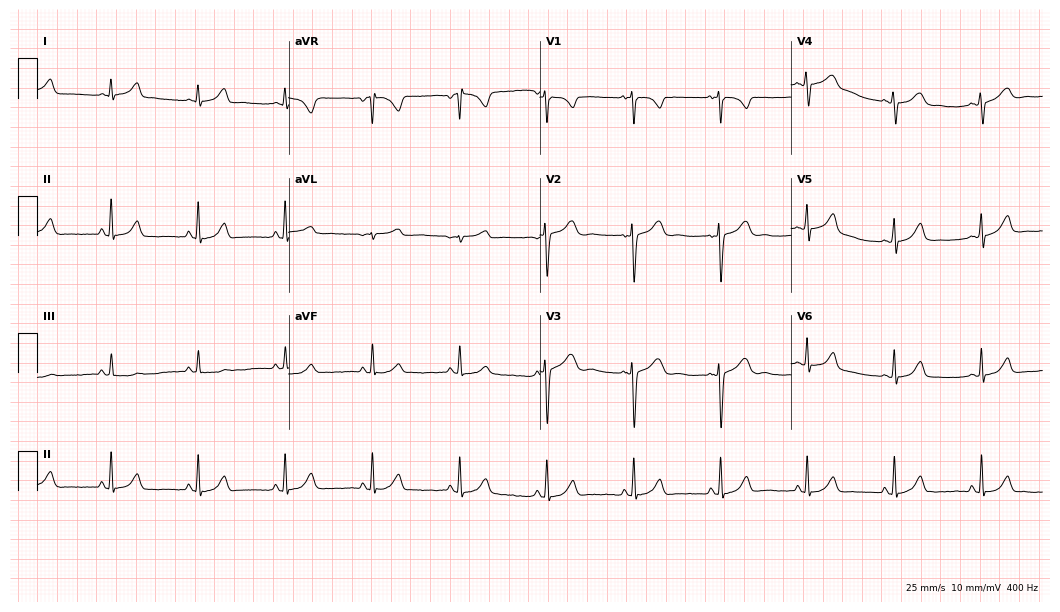
Resting 12-lead electrocardiogram (10.2-second recording at 400 Hz). Patient: a woman, 22 years old. Read as a normal ECG.